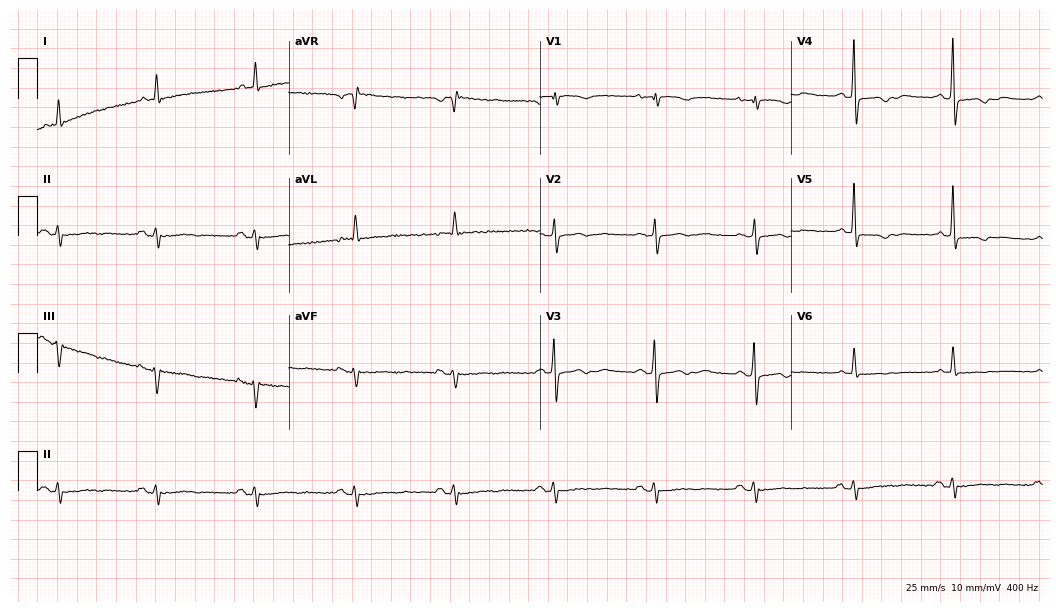
Resting 12-lead electrocardiogram. Patient: a 77-year-old female. None of these six findings is recorded: first-degree AV block, right bundle branch block, left bundle branch block, sinus bradycardia, atrial fibrillation, sinus tachycardia.